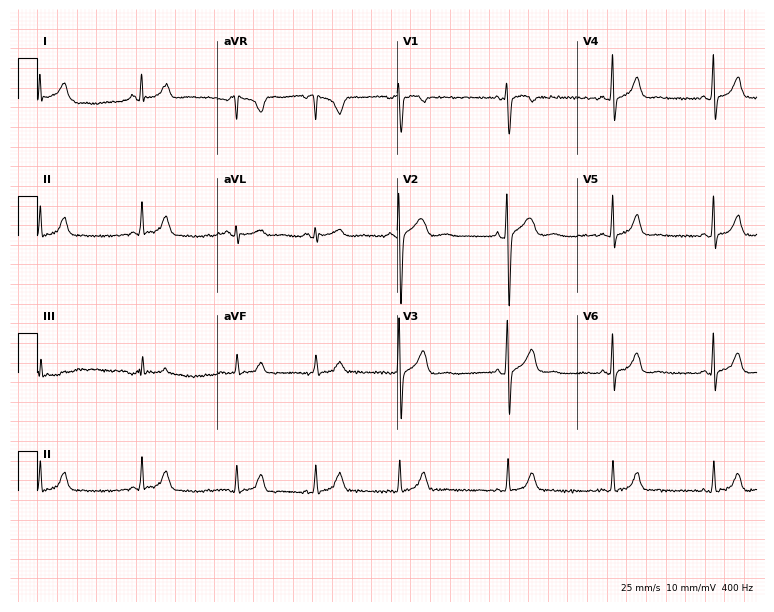
12-lead ECG (7.3-second recording at 400 Hz) from a 20-year-old female. Labelled as a normal ECG.